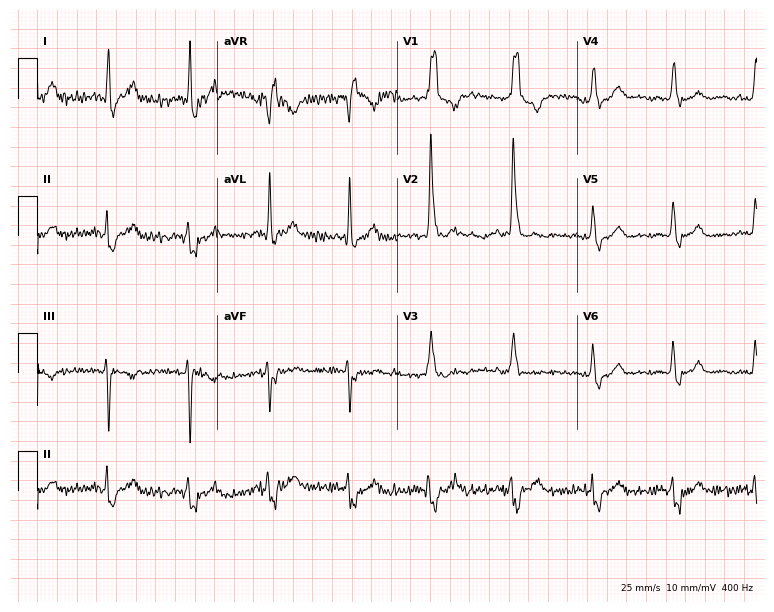
12-lead ECG from a 60-year-old male. Screened for six findings — first-degree AV block, right bundle branch block (RBBB), left bundle branch block (LBBB), sinus bradycardia, atrial fibrillation (AF), sinus tachycardia — none is recorded.